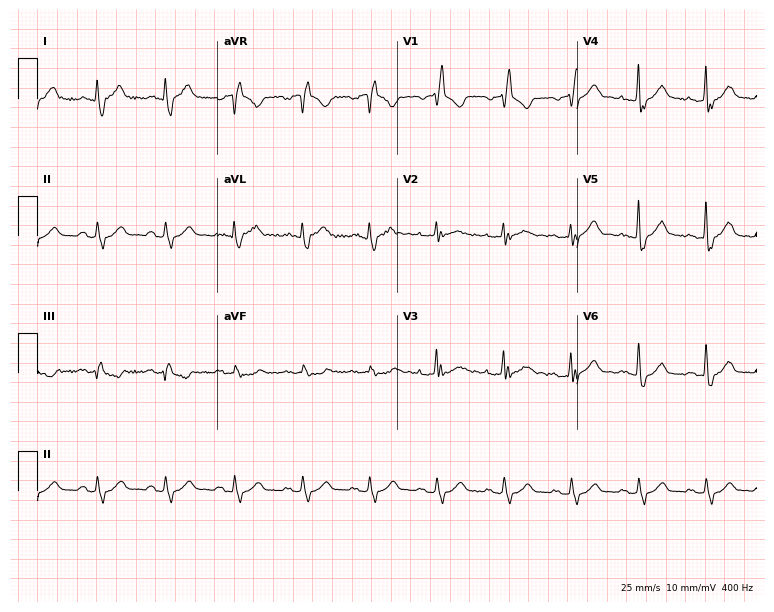
Resting 12-lead electrocardiogram. Patient: a male, 77 years old. The tracing shows right bundle branch block (RBBB).